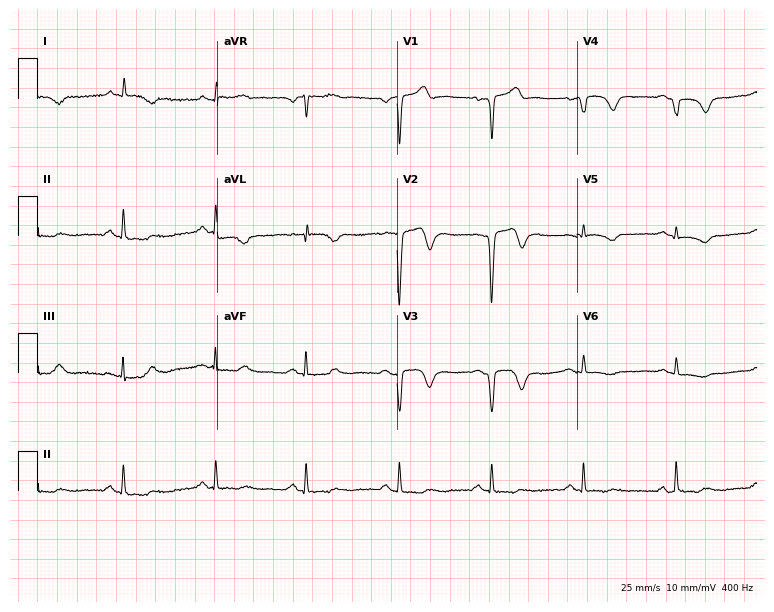
Standard 12-lead ECG recorded from a 60-year-old female (7.3-second recording at 400 Hz). None of these six findings is recorded: first-degree AV block, right bundle branch block (RBBB), left bundle branch block (LBBB), sinus bradycardia, atrial fibrillation (AF), sinus tachycardia.